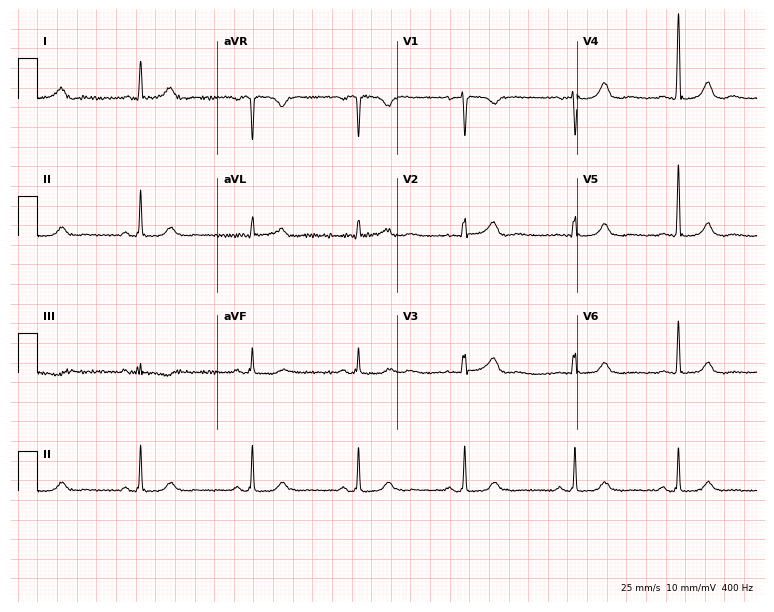
Electrocardiogram (7.3-second recording at 400 Hz), a 52-year-old female patient. Of the six screened findings (first-degree AV block, right bundle branch block, left bundle branch block, sinus bradycardia, atrial fibrillation, sinus tachycardia), none is recorded. Other findings, if any, are not listed.